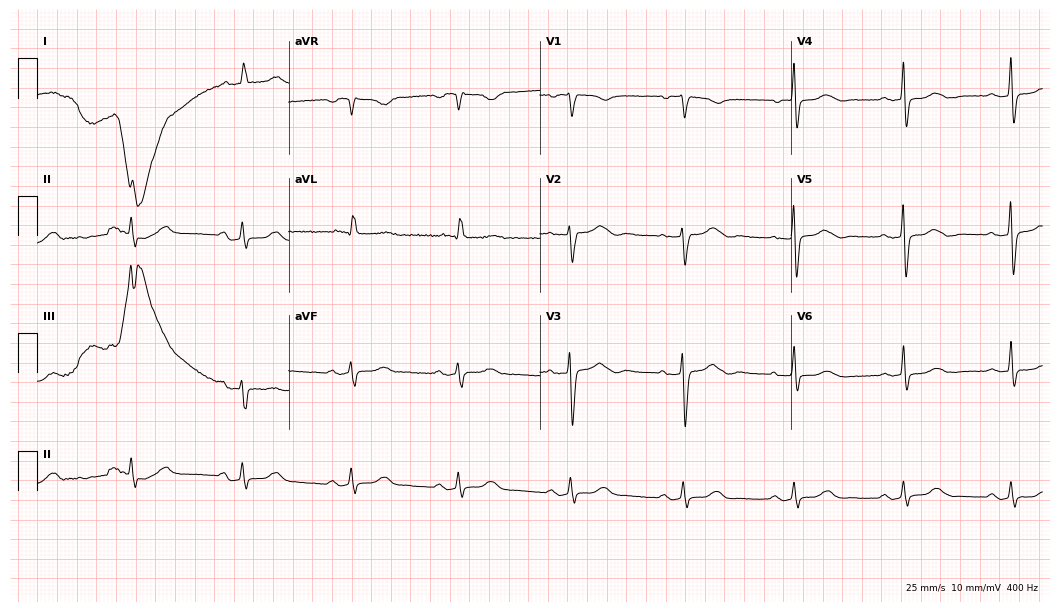
ECG — a 75-year-old woman. Findings include atrial fibrillation (AF).